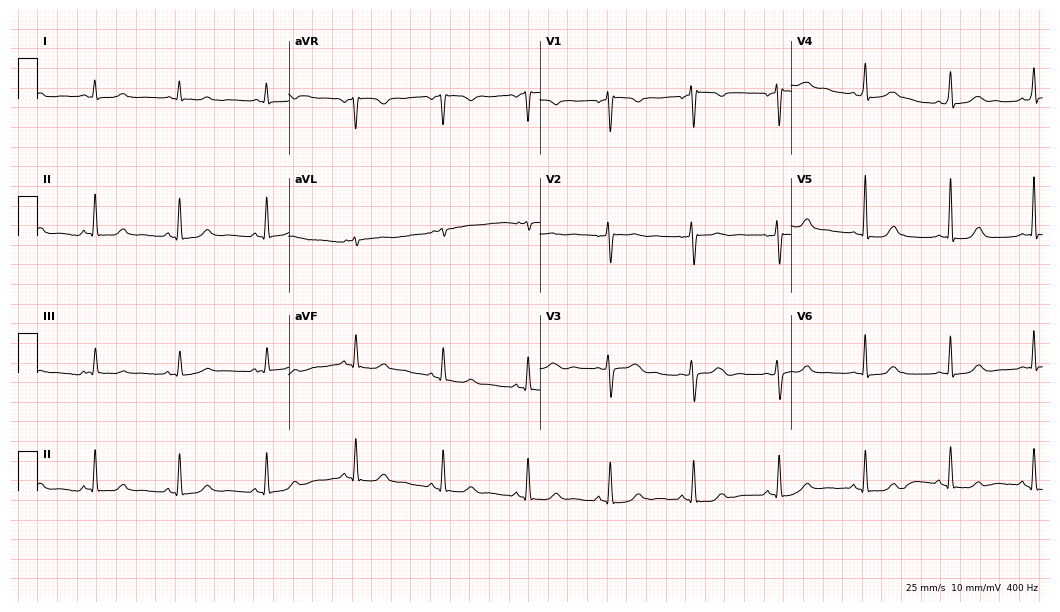
Electrocardiogram (10.2-second recording at 400 Hz), a 40-year-old woman. Overall reading on record: normal ECG.